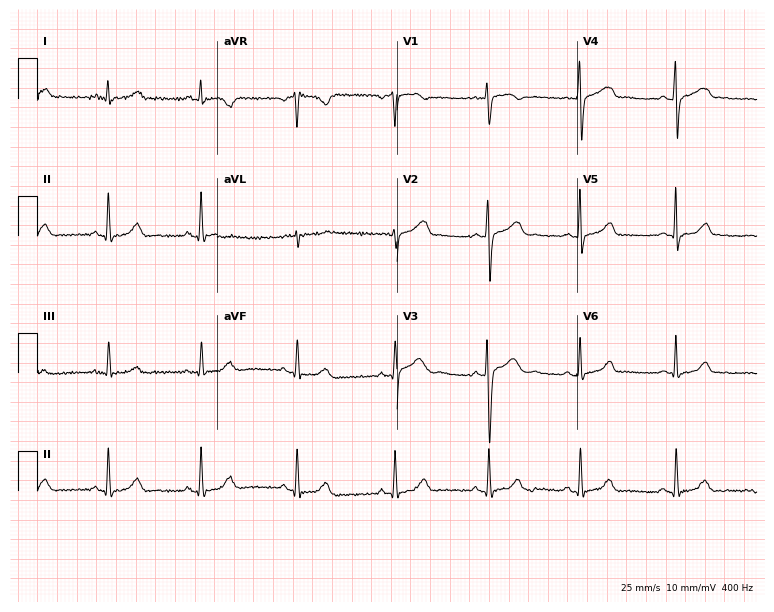
Resting 12-lead electrocardiogram. Patient: a female, 28 years old. Read as a normal ECG.